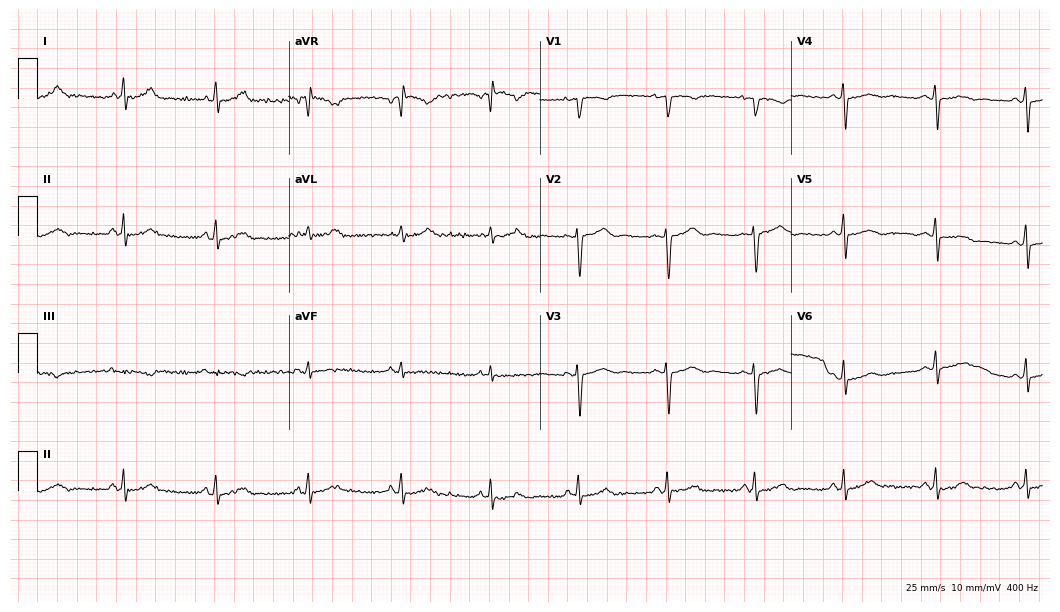
12-lead ECG from a female patient, 29 years old. No first-degree AV block, right bundle branch block, left bundle branch block, sinus bradycardia, atrial fibrillation or sinus tachycardia recorded for this tracing.